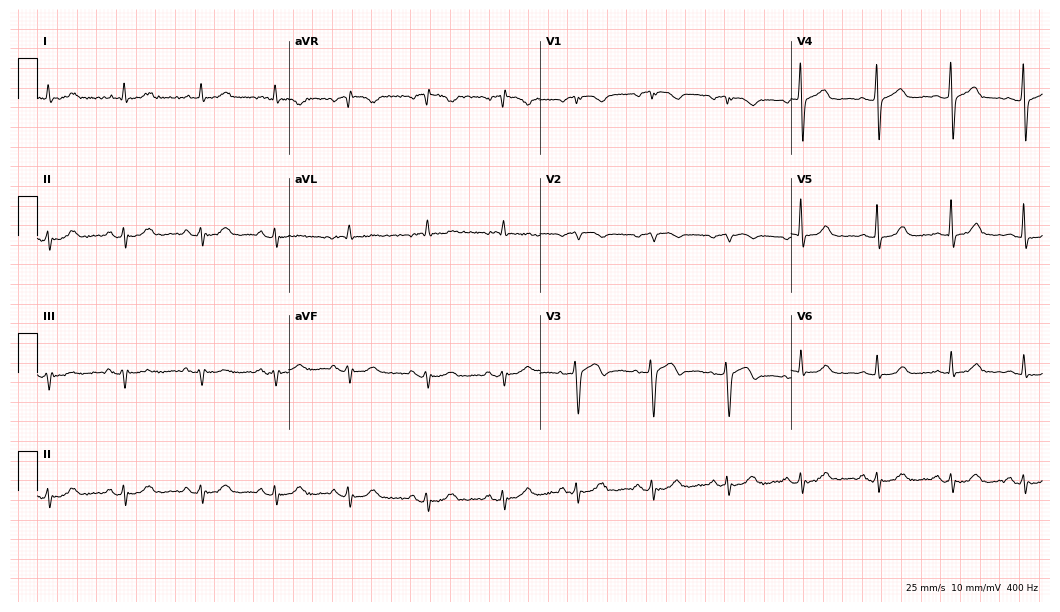
12-lead ECG (10.2-second recording at 400 Hz) from a female patient, 63 years old. Screened for six findings — first-degree AV block, right bundle branch block, left bundle branch block, sinus bradycardia, atrial fibrillation, sinus tachycardia — none is recorded.